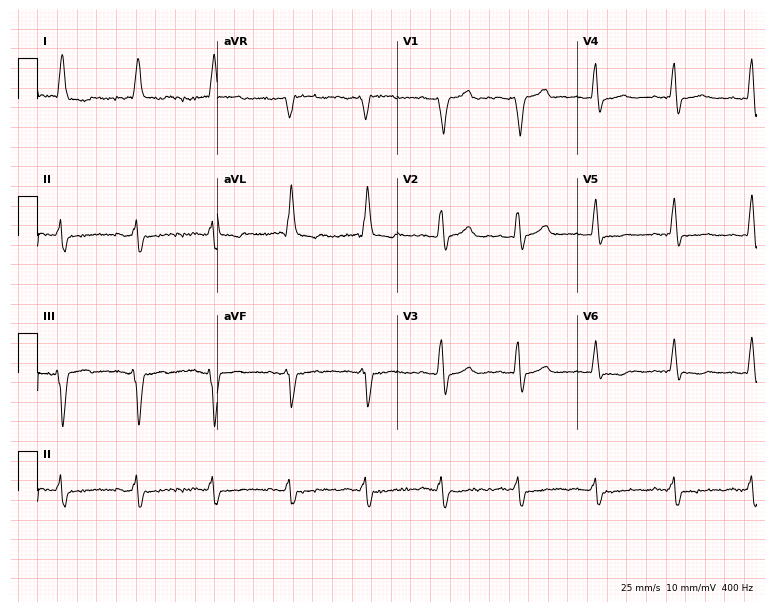
Electrocardiogram, a 72-year-old male patient. Of the six screened findings (first-degree AV block, right bundle branch block, left bundle branch block, sinus bradycardia, atrial fibrillation, sinus tachycardia), none is recorded.